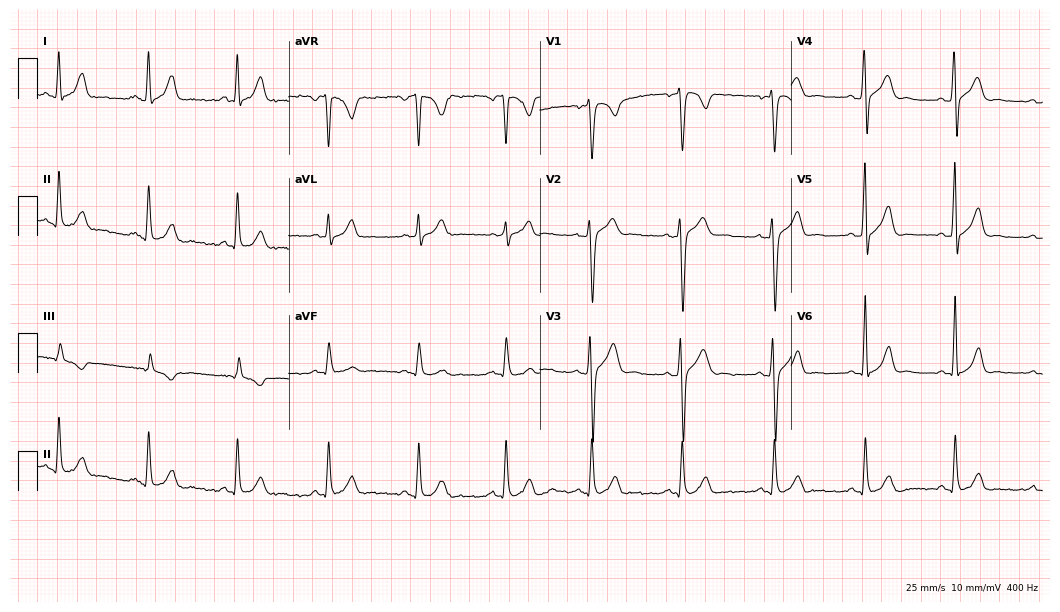
ECG (10.2-second recording at 400 Hz) — a man, 22 years old. Labelled as a normal ECG.